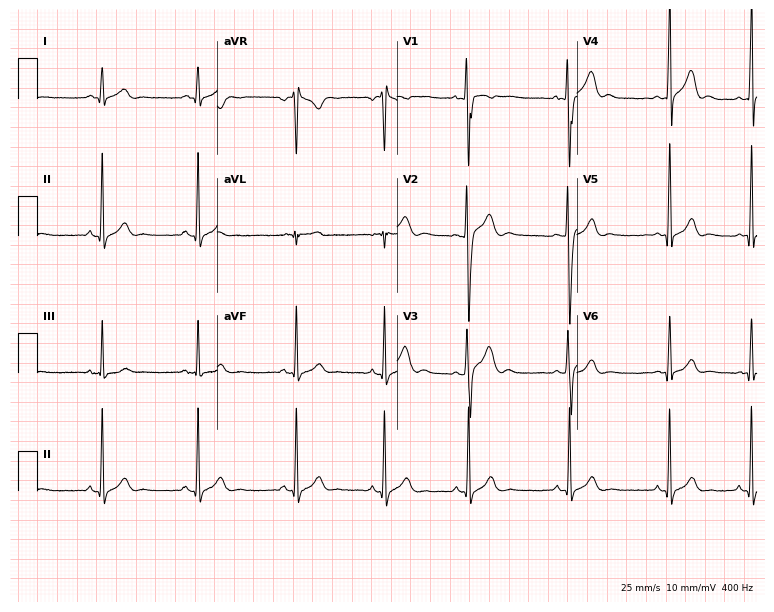
Resting 12-lead electrocardiogram. Patient: a male, 20 years old. None of these six findings is recorded: first-degree AV block, right bundle branch block (RBBB), left bundle branch block (LBBB), sinus bradycardia, atrial fibrillation (AF), sinus tachycardia. Only these six findings were labelled.